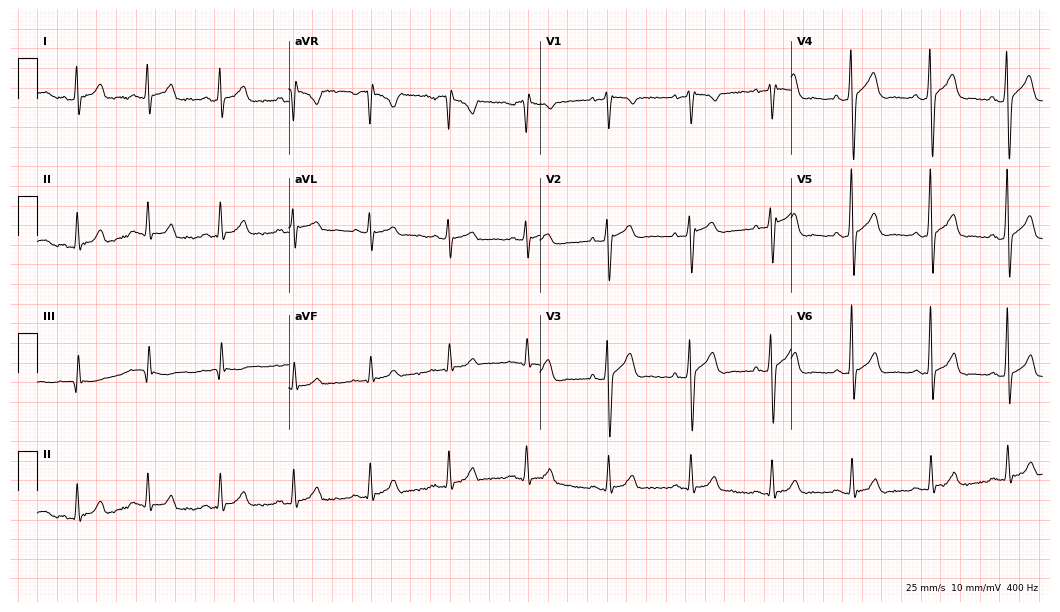
12-lead ECG from a 30-year-old male. Screened for six findings — first-degree AV block, right bundle branch block, left bundle branch block, sinus bradycardia, atrial fibrillation, sinus tachycardia — none is recorded.